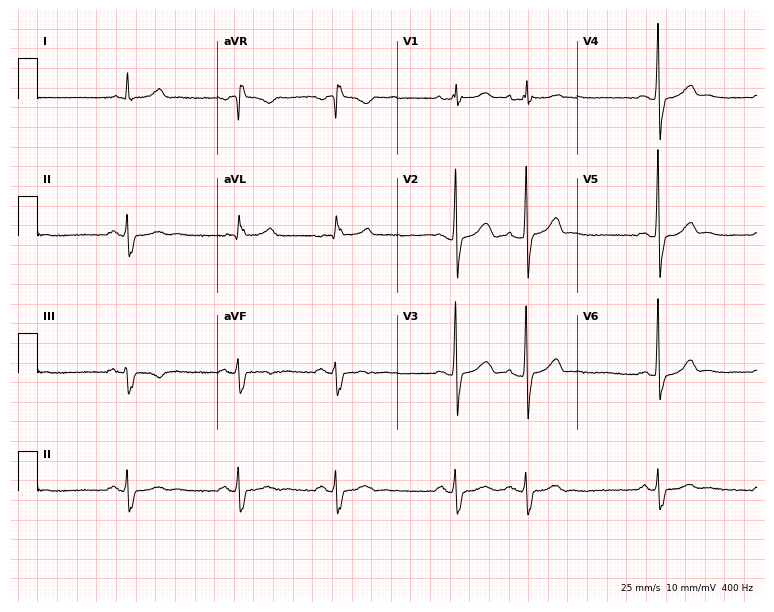
Standard 12-lead ECG recorded from a man, 66 years old. None of these six findings is recorded: first-degree AV block, right bundle branch block, left bundle branch block, sinus bradycardia, atrial fibrillation, sinus tachycardia.